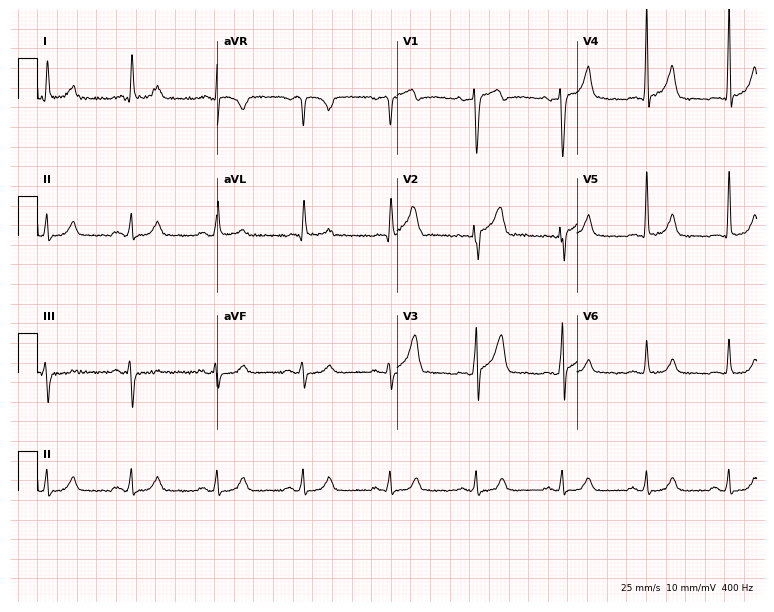
12-lead ECG from a male, 45 years old. No first-degree AV block, right bundle branch block, left bundle branch block, sinus bradycardia, atrial fibrillation or sinus tachycardia recorded for this tracing. Only these six findings were labelled.